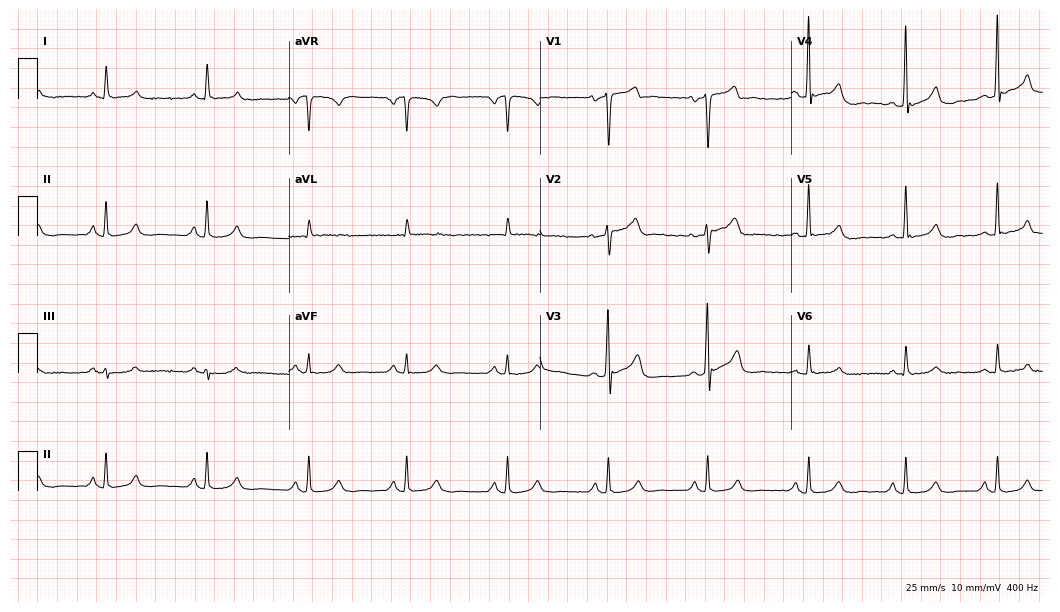
Resting 12-lead electrocardiogram (10.2-second recording at 400 Hz). Patient: a man, 60 years old. Read as a normal ECG.